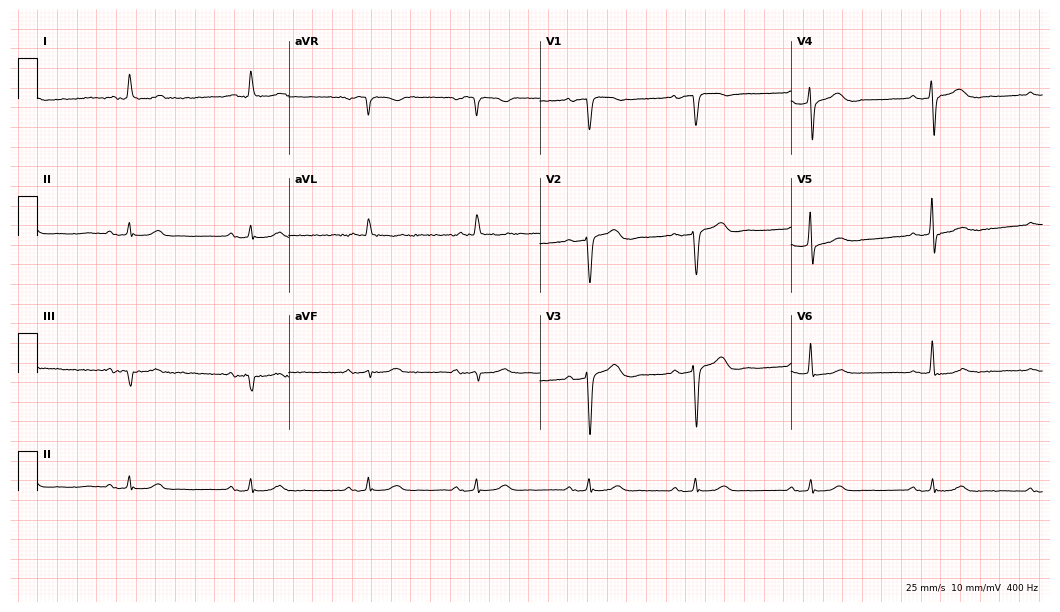
ECG (10.2-second recording at 400 Hz) — a male patient, 87 years old. Findings include first-degree AV block.